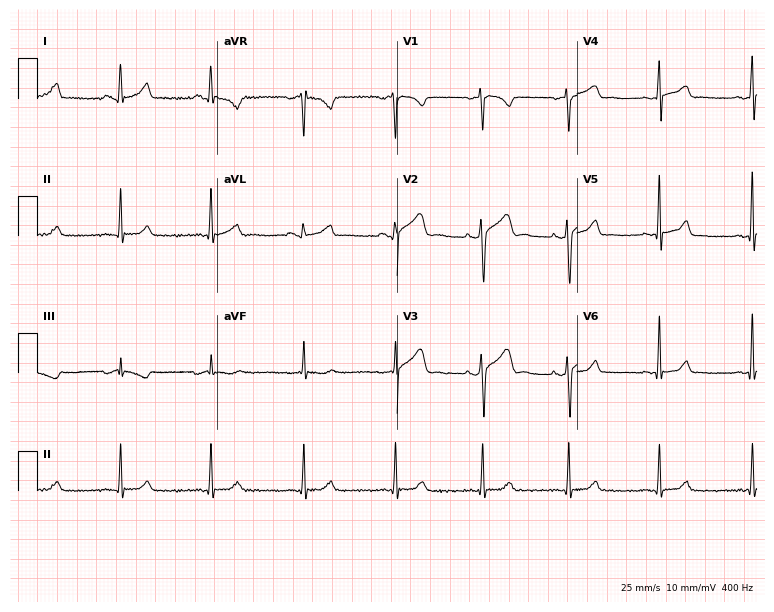
Resting 12-lead electrocardiogram (7.3-second recording at 400 Hz). Patient: a woman, 34 years old. Read as a normal ECG.